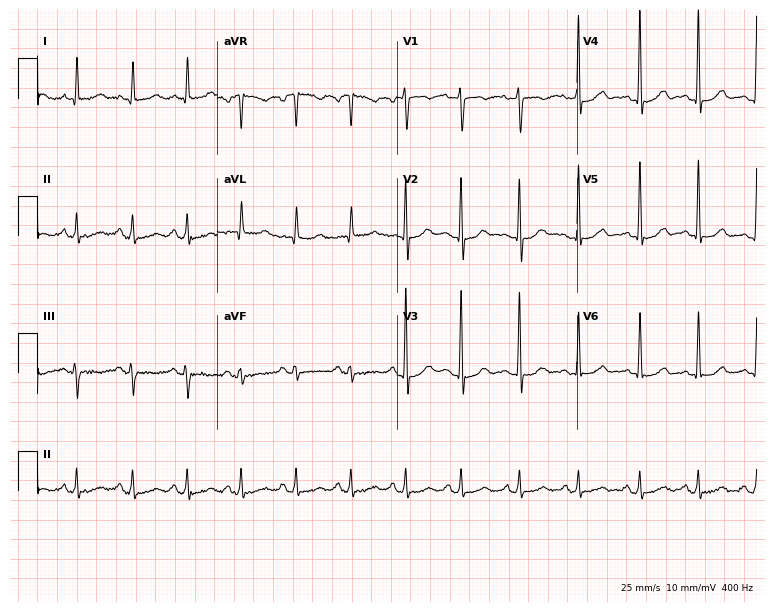
ECG — a 44-year-old female. Findings include sinus tachycardia (a sinus rate of 100 beats per minute or more).